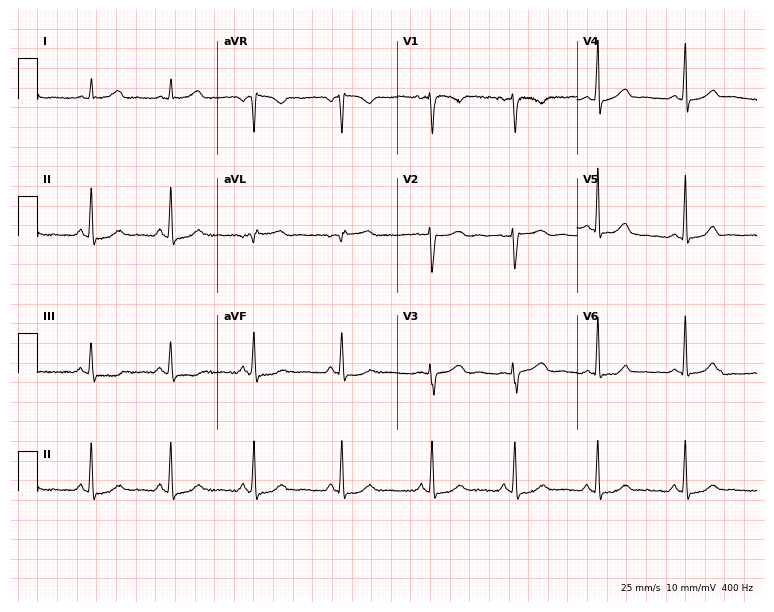
Resting 12-lead electrocardiogram (7.3-second recording at 400 Hz). Patient: a female, 30 years old. None of these six findings is recorded: first-degree AV block, right bundle branch block (RBBB), left bundle branch block (LBBB), sinus bradycardia, atrial fibrillation (AF), sinus tachycardia. Only these six findings were labelled.